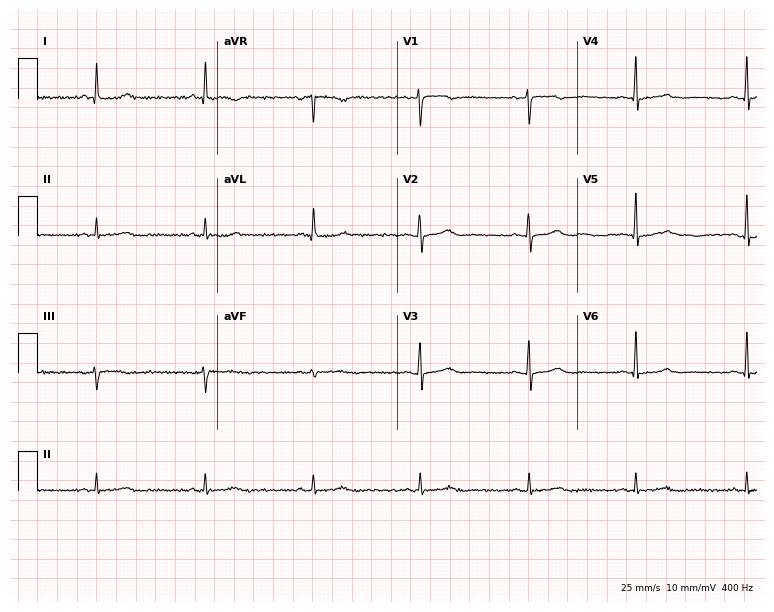
12-lead ECG (7.3-second recording at 400 Hz) from a 49-year-old female. Screened for six findings — first-degree AV block, right bundle branch block, left bundle branch block, sinus bradycardia, atrial fibrillation, sinus tachycardia — none is recorded. Findings outside these six are not listed.